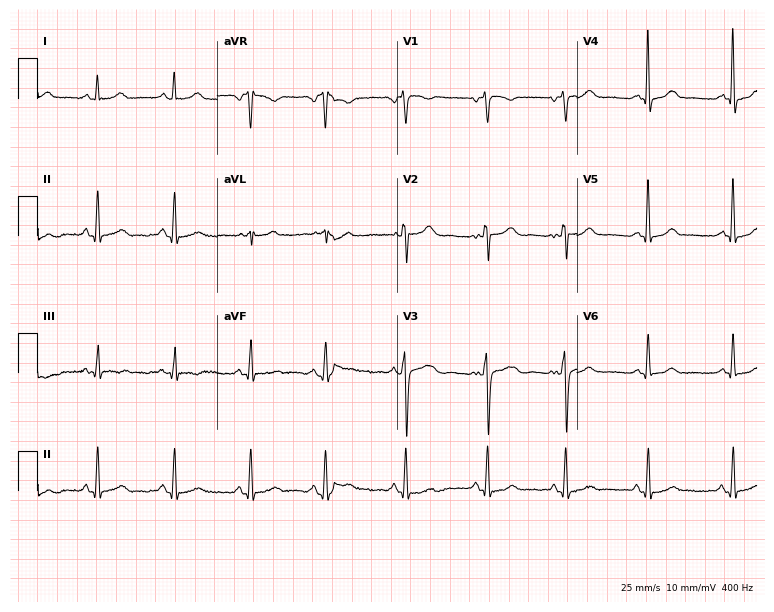
12-lead ECG from a woman, 29 years old (7.3-second recording at 400 Hz). Recorded interpretation: within normal limits.